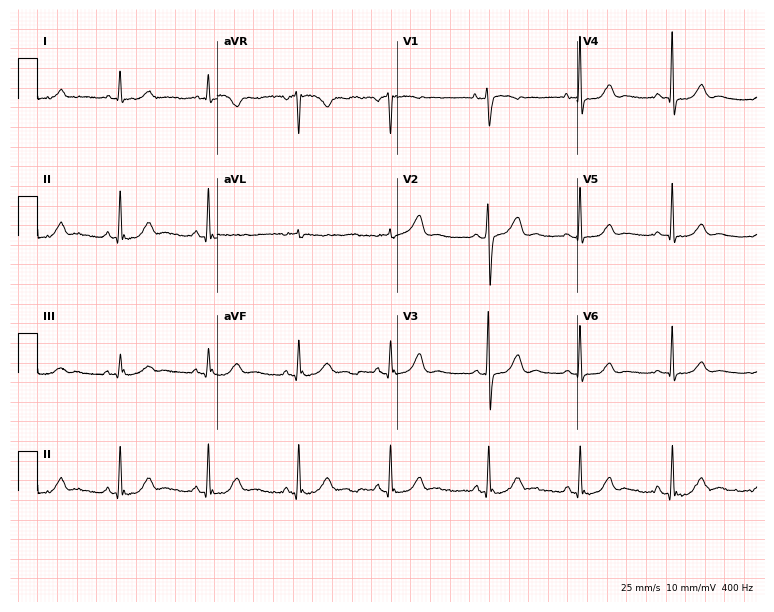
Standard 12-lead ECG recorded from a woman, 74 years old. None of these six findings is recorded: first-degree AV block, right bundle branch block (RBBB), left bundle branch block (LBBB), sinus bradycardia, atrial fibrillation (AF), sinus tachycardia. Other findings, if any, are not listed.